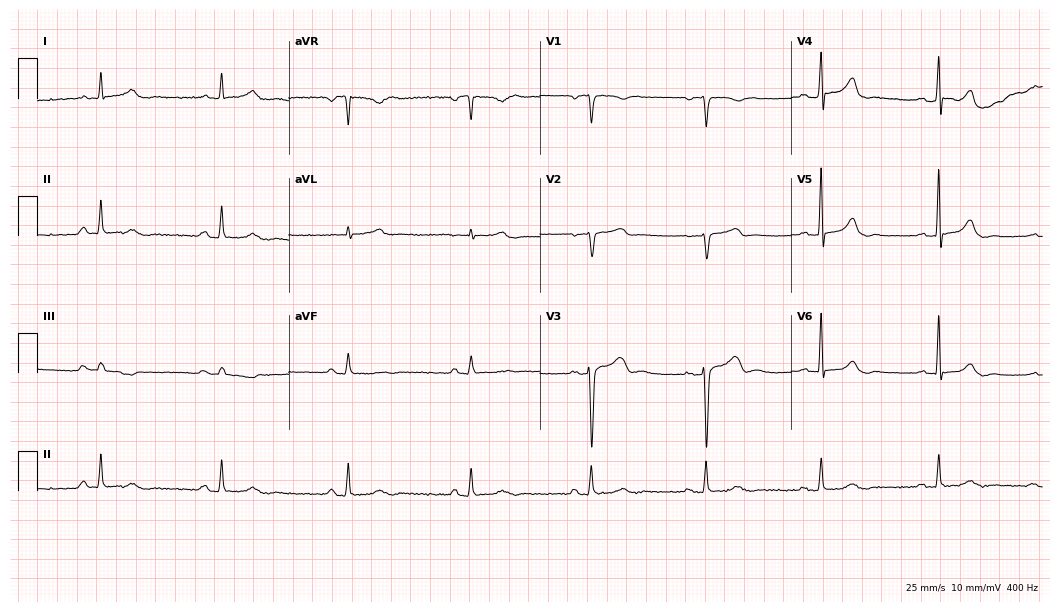
Electrocardiogram (10.2-second recording at 400 Hz), a female, 48 years old. Of the six screened findings (first-degree AV block, right bundle branch block (RBBB), left bundle branch block (LBBB), sinus bradycardia, atrial fibrillation (AF), sinus tachycardia), none is recorded. Findings outside these six are not listed.